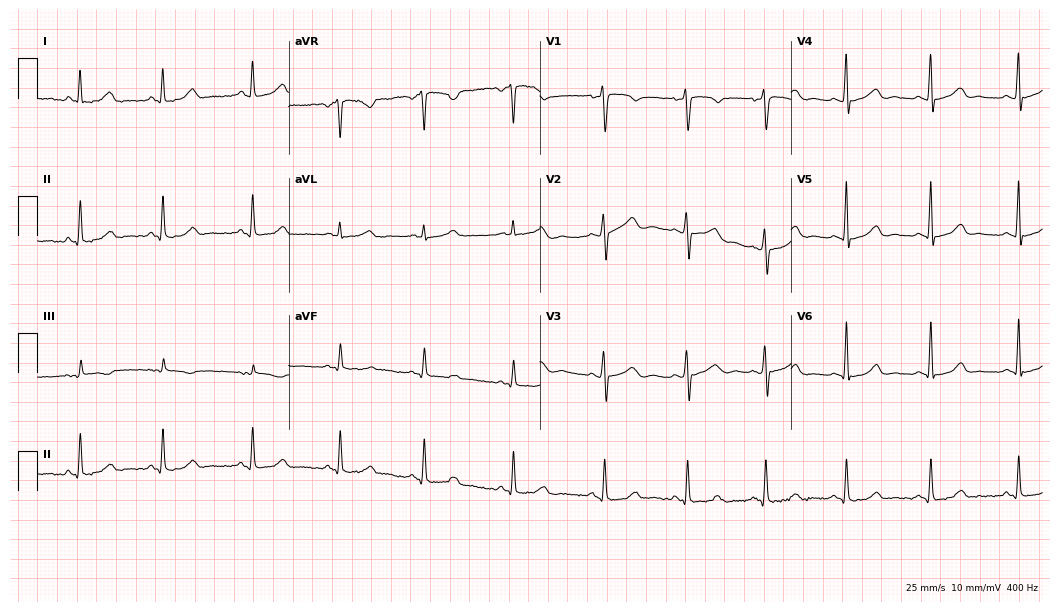
Electrocardiogram (10.2-second recording at 400 Hz), a 29-year-old woman. Overall reading on record: normal ECG.